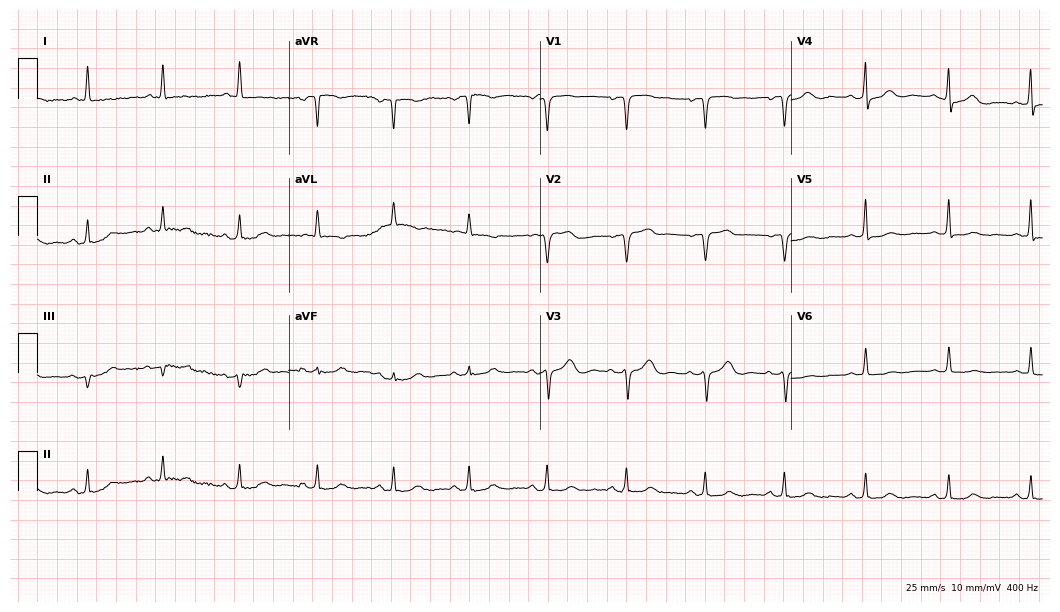
Resting 12-lead electrocardiogram (10.2-second recording at 400 Hz). Patient: a 68-year-old female. None of these six findings is recorded: first-degree AV block, right bundle branch block, left bundle branch block, sinus bradycardia, atrial fibrillation, sinus tachycardia.